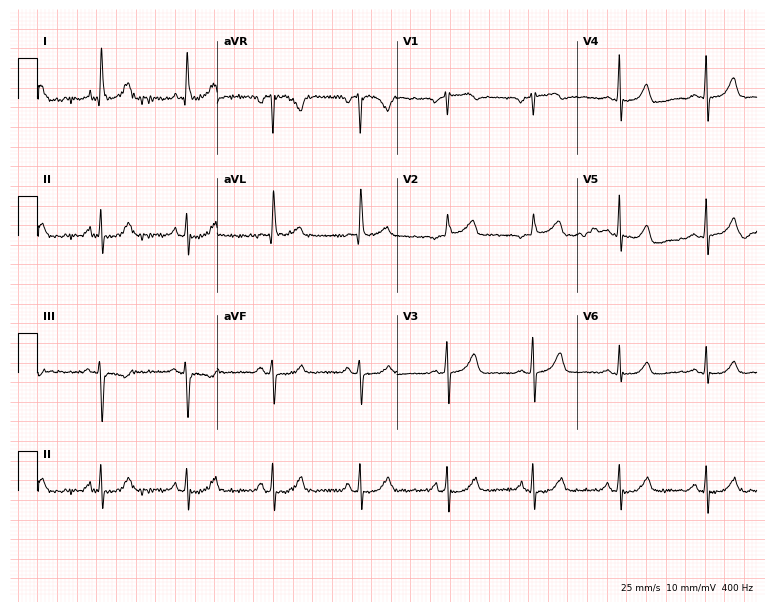
Resting 12-lead electrocardiogram (7.3-second recording at 400 Hz). Patient: a female, 60 years old. None of these six findings is recorded: first-degree AV block, right bundle branch block, left bundle branch block, sinus bradycardia, atrial fibrillation, sinus tachycardia.